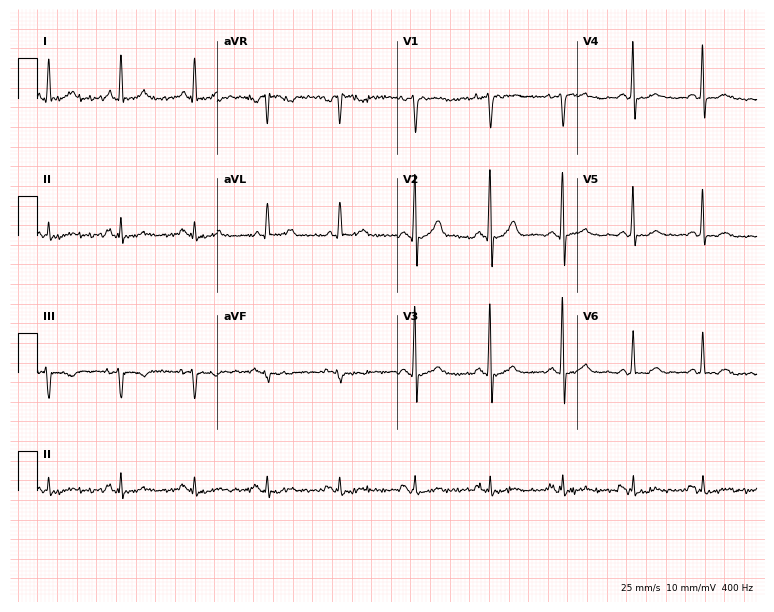
Electrocardiogram, a male, 48 years old. Of the six screened findings (first-degree AV block, right bundle branch block (RBBB), left bundle branch block (LBBB), sinus bradycardia, atrial fibrillation (AF), sinus tachycardia), none is recorded.